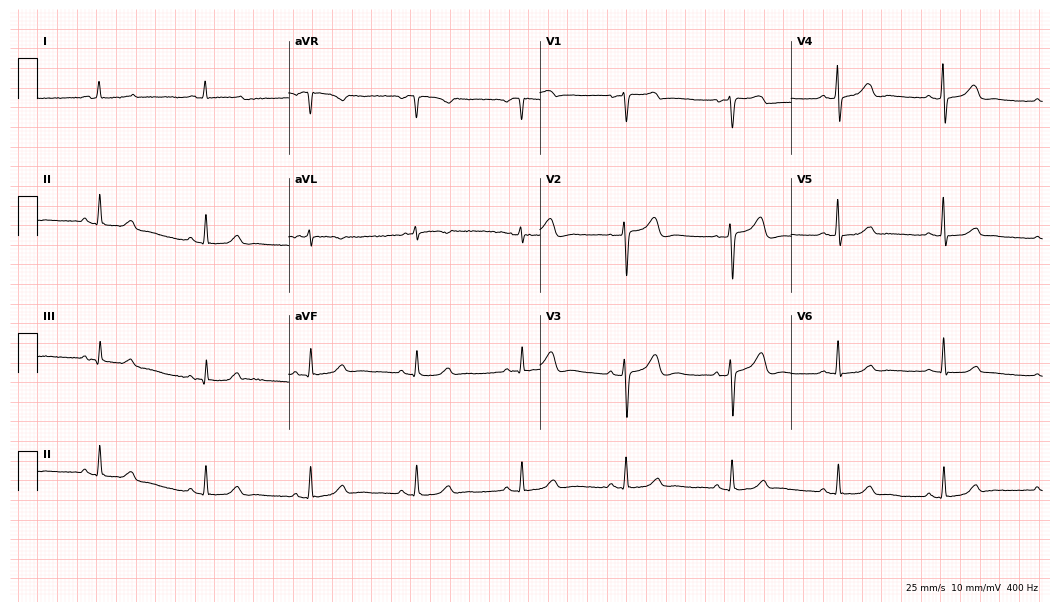
Electrocardiogram, a female patient, 67 years old. Of the six screened findings (first-degree AV block, right bundle branch block (RBBB), left bundle branch block (LBBB), sinus bradycardia, atrial fibrillation (AF), sinus tachycardia), none is recorded. Only these six findings were labelled.